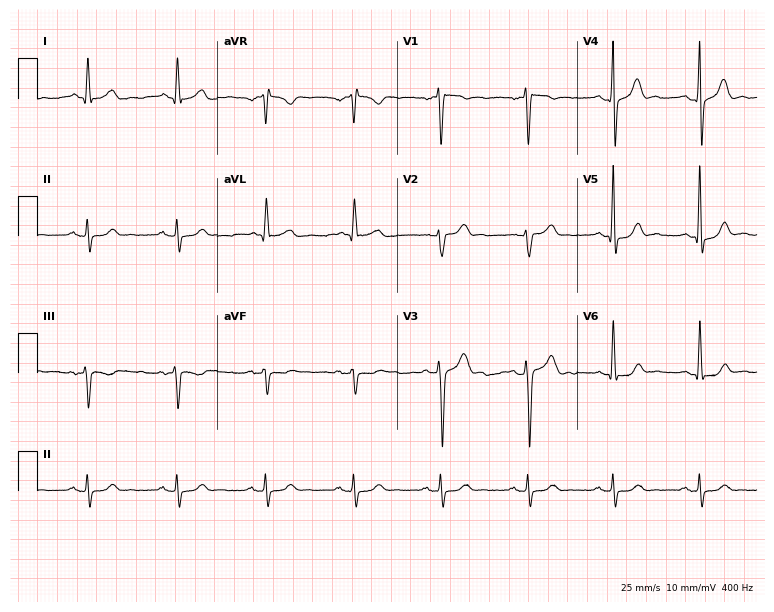
ECG (7.3-second recording at 400 Hz) — a male, 50 years old. Labelled as a normal ECG.